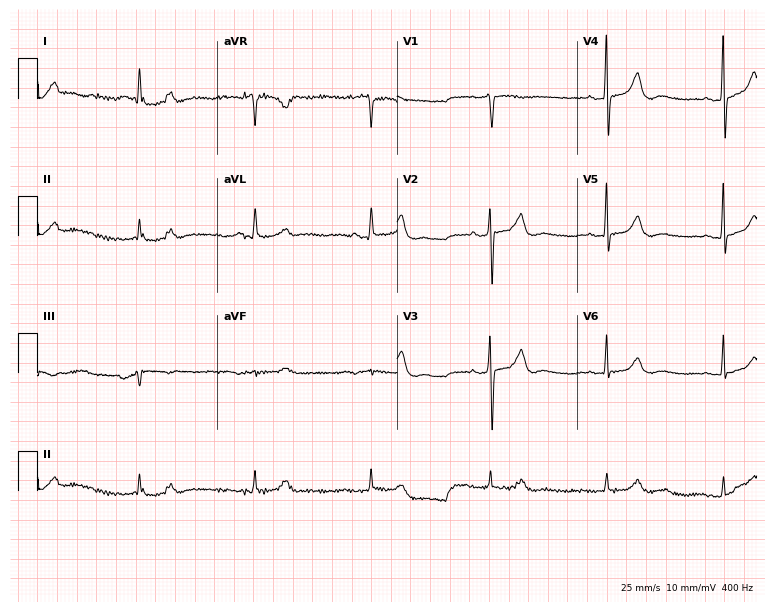
12-lead ECG (7.3-second recording at 400 Hz) from a 75-year-old female patient. Labelled as a normal ECG.